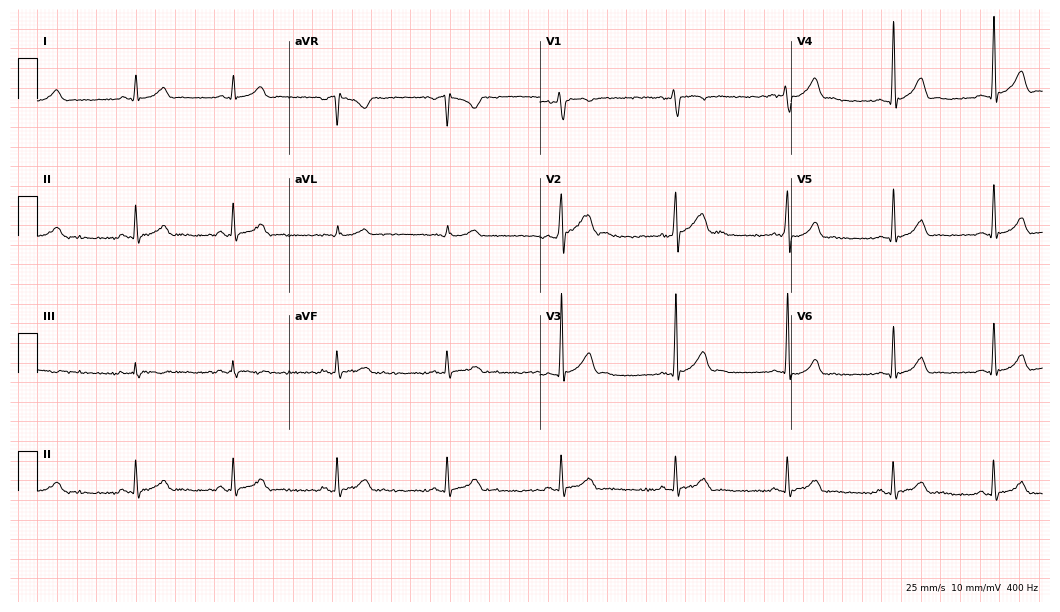
Standard 12-lead ECG recorded from a male, 21 years old. Read as a normal ECG.